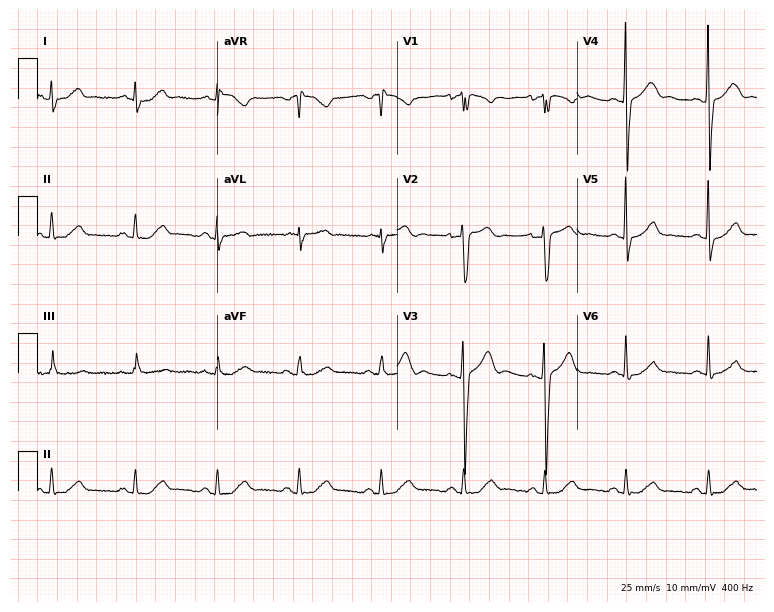
Standard 12-lead ECG recorded from a 40-year-old male (7.3-second recording at 400 Hz). Read as a normal ECG.